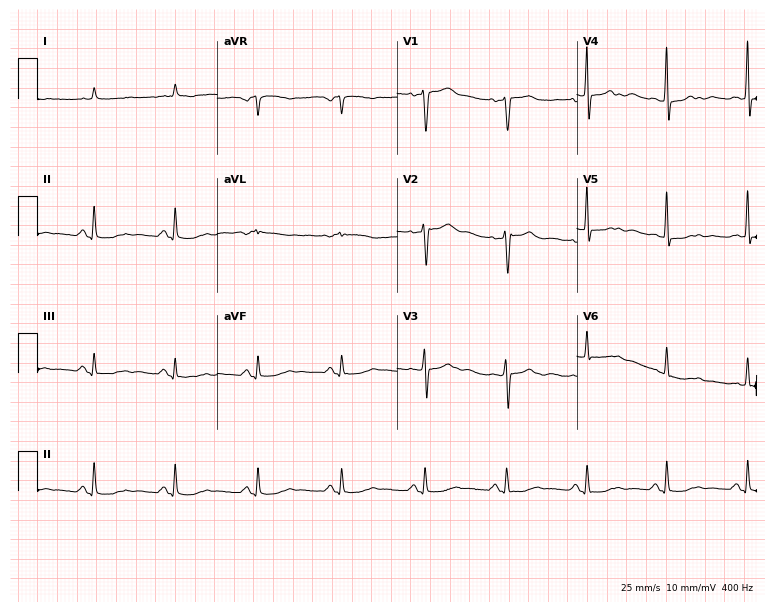
Standard 12-lead ECG recorded from a woman, 73 years old (7.3-second recording at 400 Hz). None of these six findings is recorded: first-degree AV block, right bundle branch block, left bundle branch block, sinus bradycardia, atrial fibrillation, sinus tachycardia.